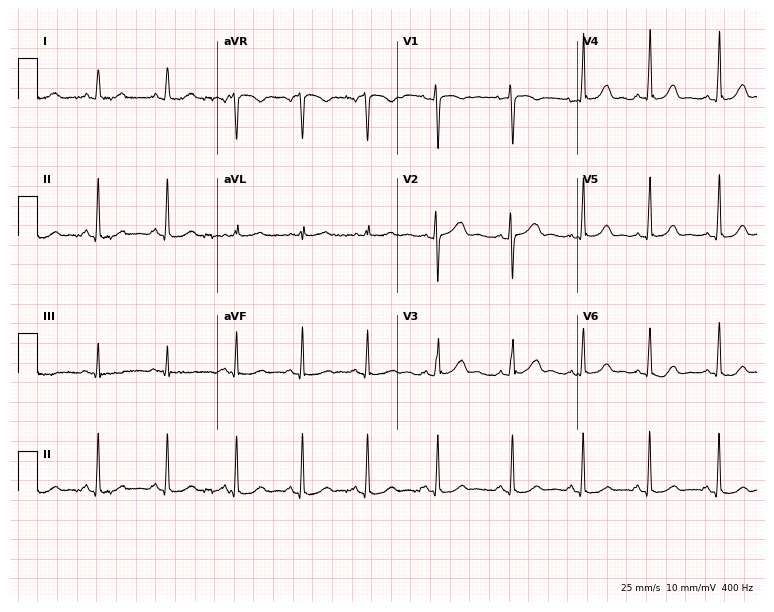
ECG (7.3-second recording at 400 Hz) — a woman, 30 years old. Screened for six findings — first-degree AV block, right bundle branch block (RBBB), left bundle branch block (LBBB), sinus bradycardia, atrial fibrillation (AF), sinus tachycardia — none is recorded. Findings outside these six are not listed.